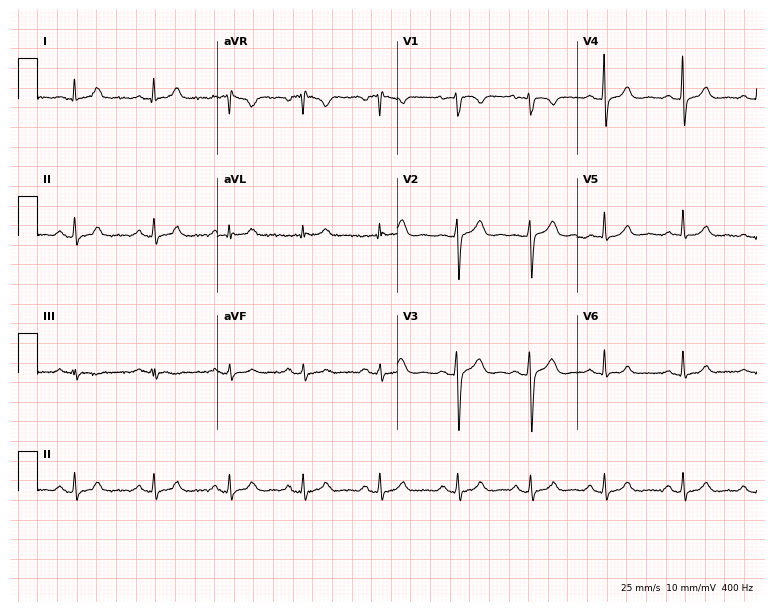
12-lead ECG from a 32-year-old woman. Screened for six findings — first-degree AV block, right bundle branch block, left bundle branch block, sinus bradycardia, atrial fibrillation, sinus tachycardia — none is recorded. Findings outside these six are not listed.